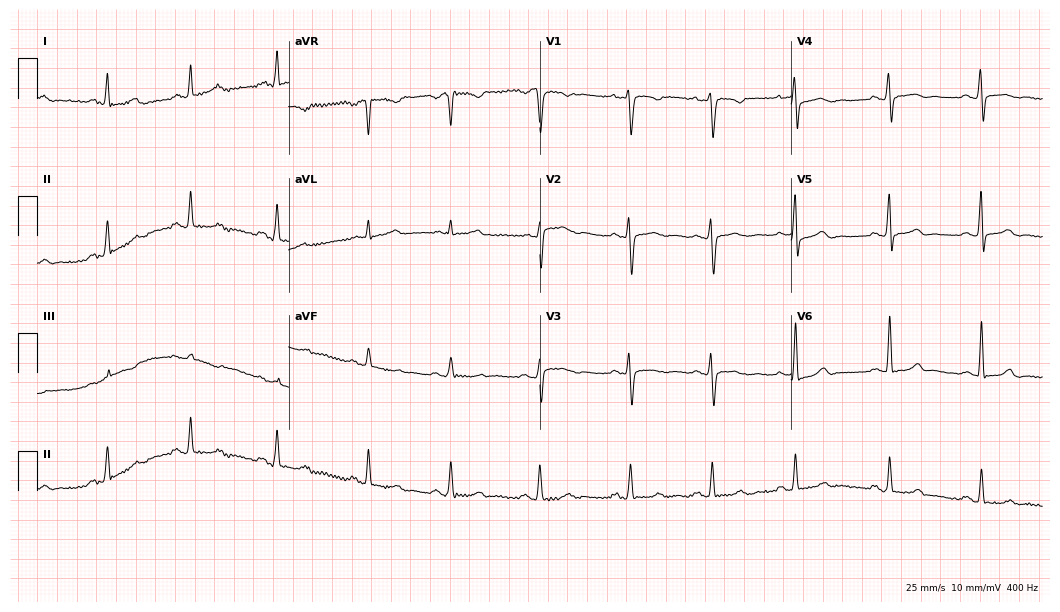
Resting 12-lead electrocardiogram. Patient: a female, 22 years old. Read as a normal ECG.